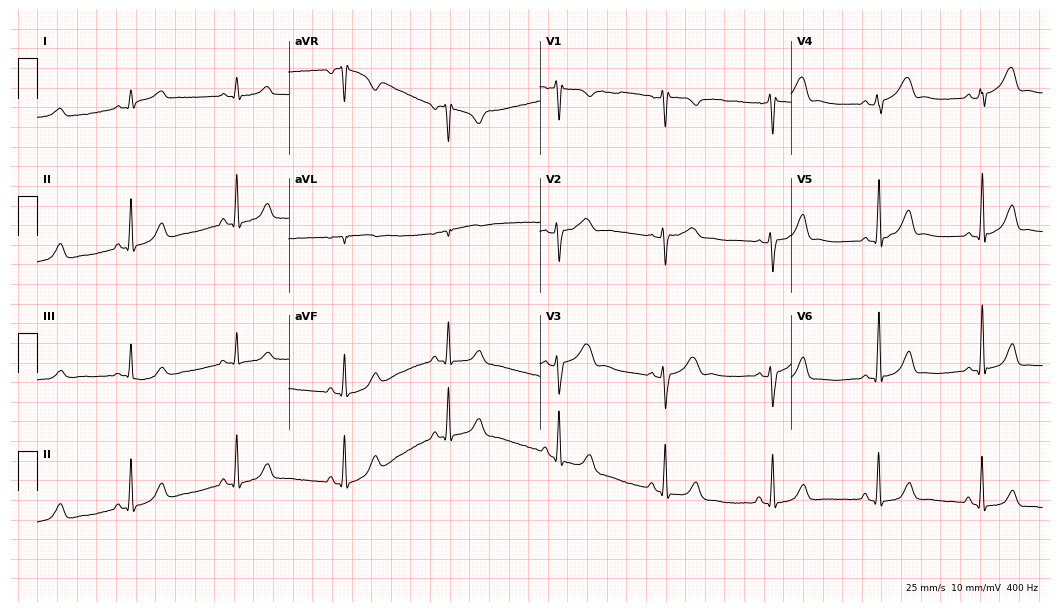
12-lead ECG from a female, 51 years old. Labelled as a normal ECG.